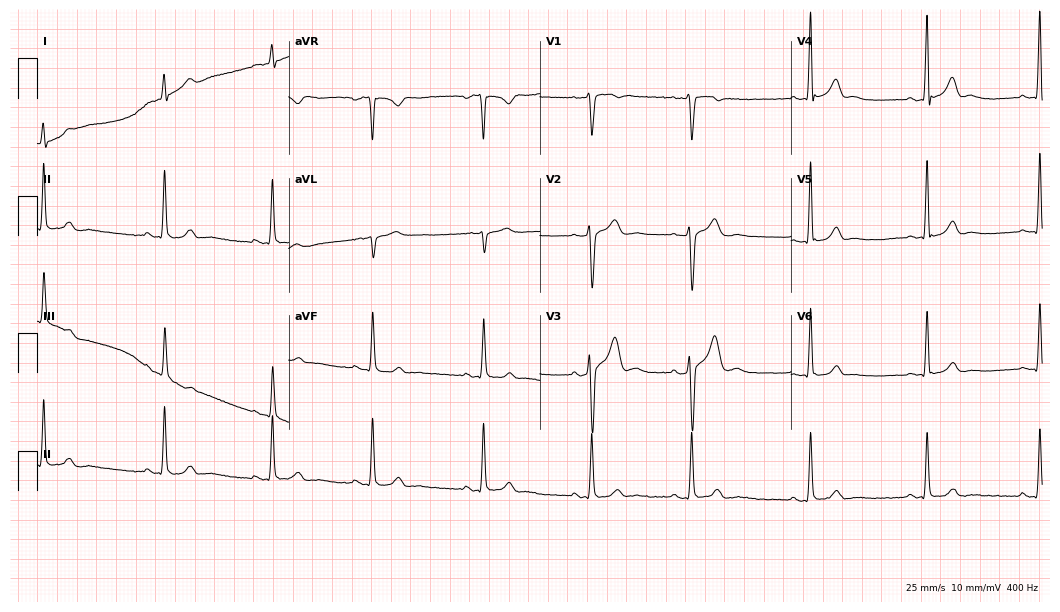
ECG — a male, 22 years old. Labelled as a normal ECG.